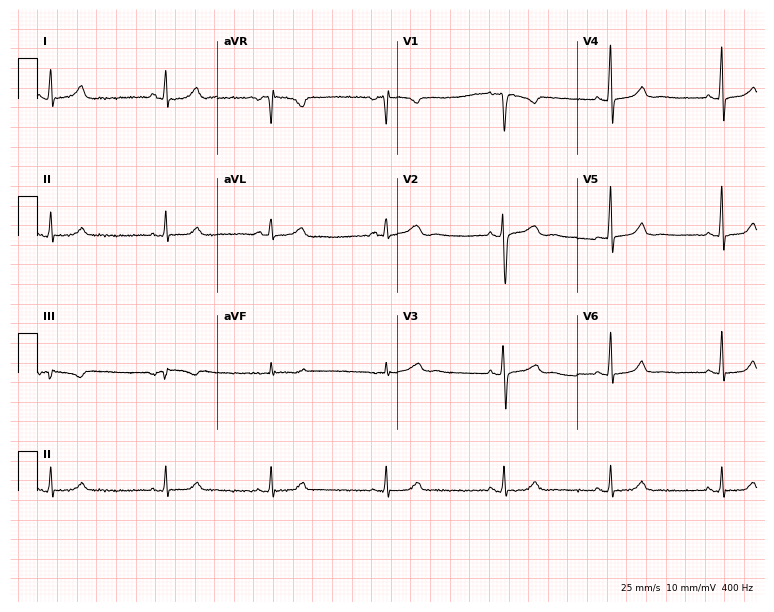
Electrocardiogram, a woman, 42 years old. Overall reading on record: normal ECG.